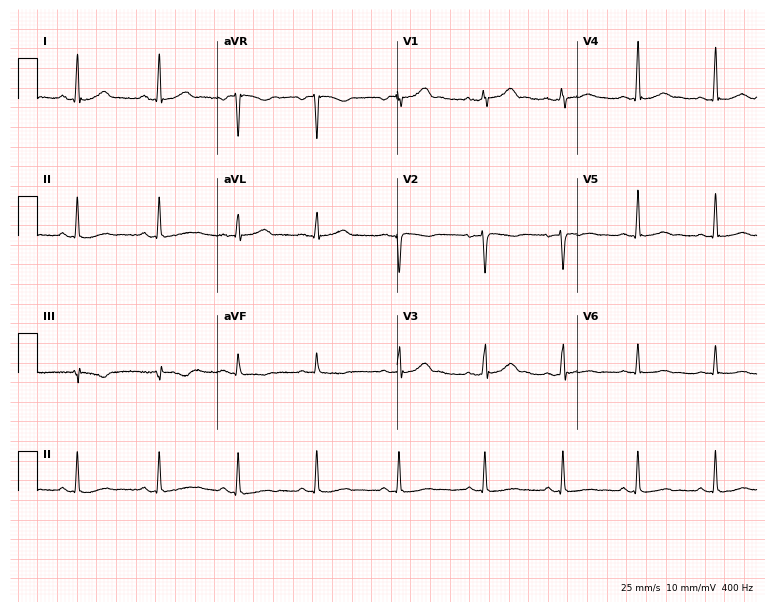
Standard 12-lead ECG recorded from a female, 41 years old (7.3-second recording at 400 Hz). Read as a normal ECG.